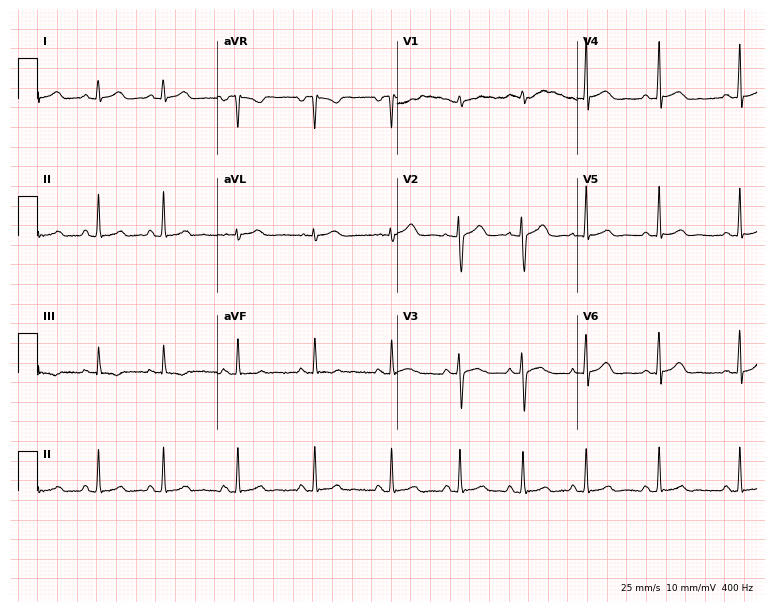
ECG — a 19-year-old woman. Screened for six findings — first-degree AV block, right bundle branch block, left bundle branch block, sinus bradycardia, atrial fibrillation, sinus tachycardia — none is recorded. Findings outside these six are not listed.